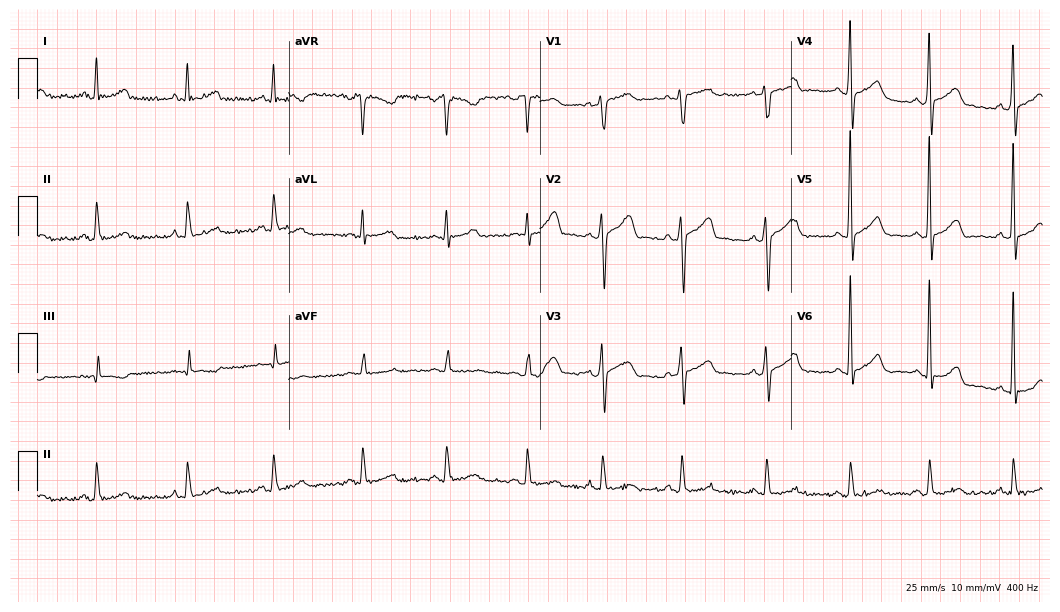
12-lead ECG from a 51-year-old male (10.2-second recording at 400 Hz). No first-degree AV block, right bundle branch block, left bundle branch block, sinus bradycardia, atrial fibrillation or sinus tachycardia recorded for this tracing.